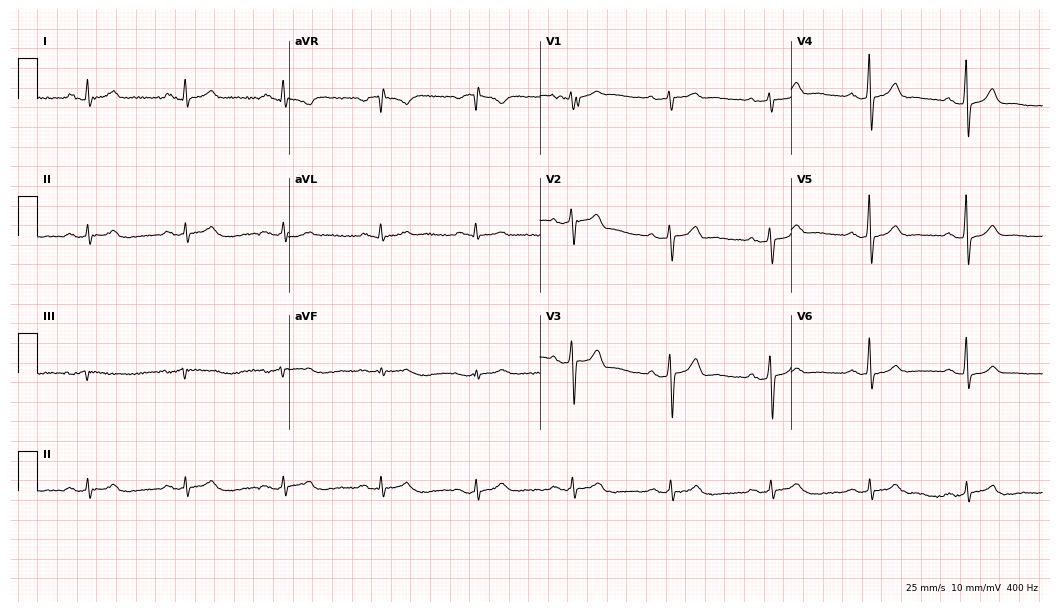
Standard 12-lead ECG recorded from a 60-year-old man. Read as a normal ECG.